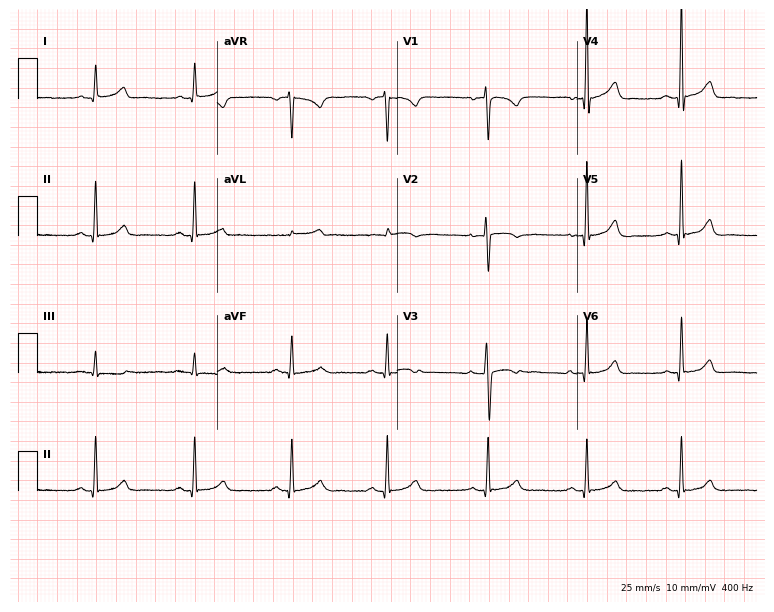
Electrocardiogram, a 48-year-old female patient. Overall reading on record: normal ECG.